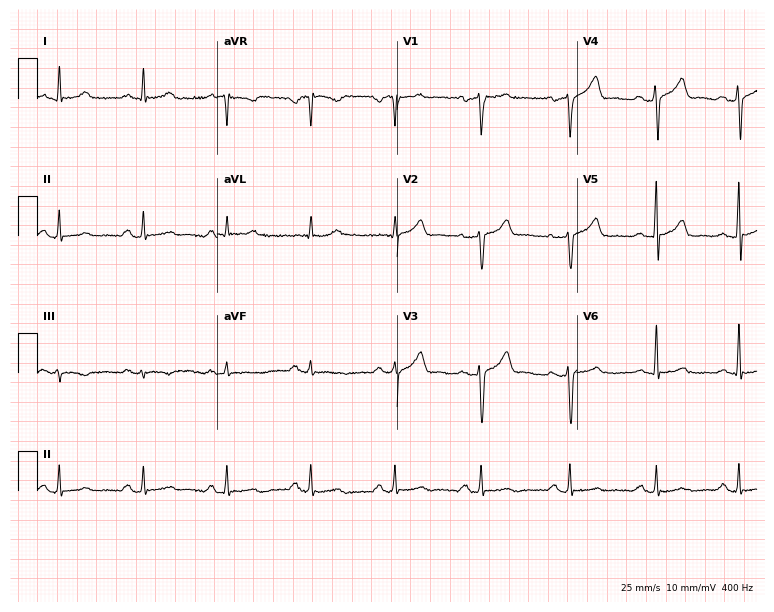
ECG (7.3-second recording at 400 Hz) — a male patient, 50 years old. Labelled as a normal ECG.